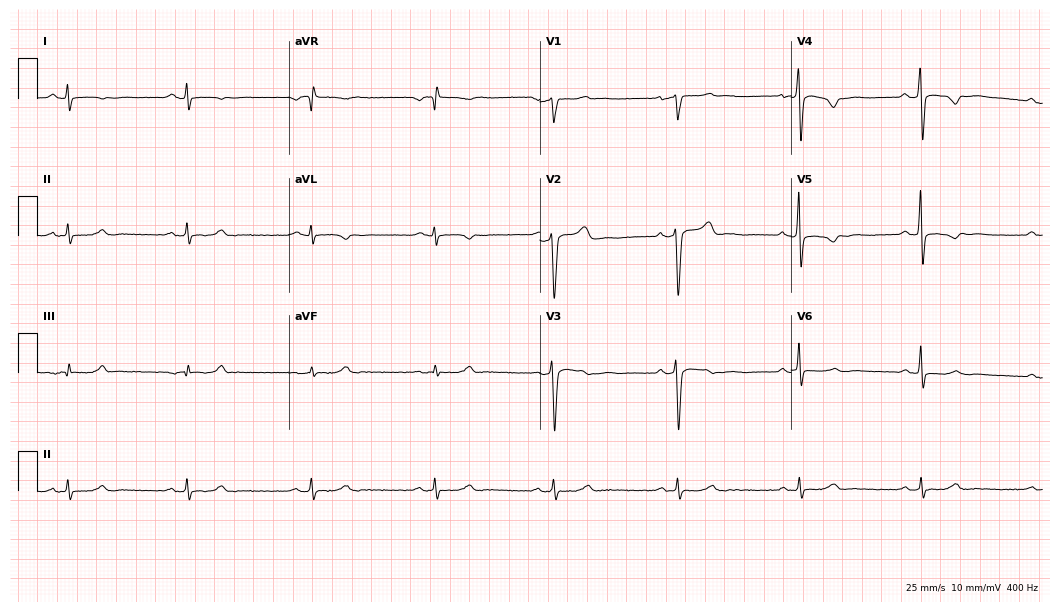
Electrocardiogram, a male patient, 35 years old. Interpretation includes sinus bradycardia (a sinus rate of 50 beats per minute or less).